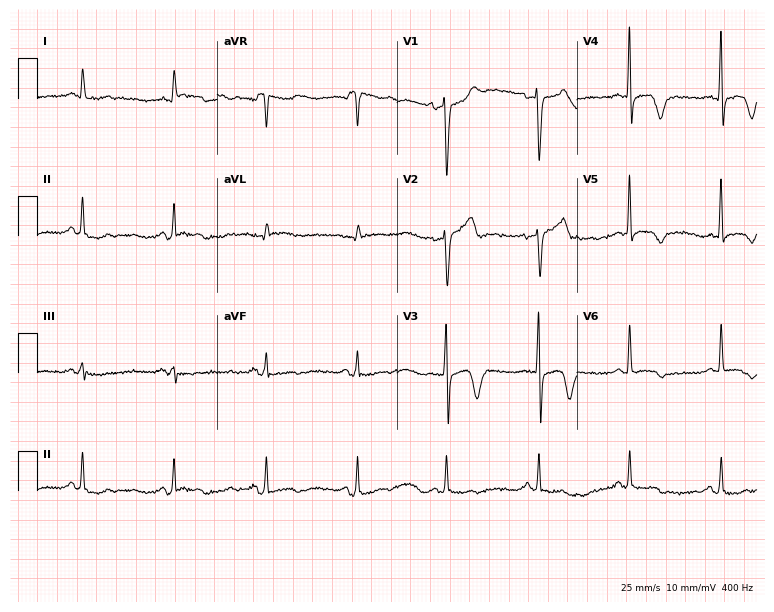
ECG (7.3-second recording at 400 Hz) — a male patient, 82 years old. Screened for six findings — first-degree AV block, right bundle branch block, left bundle branch block, sinus bradycardia, atrial fibrillation, sinus tachycardia — none is recorded. Other findings, if any, are not listed.